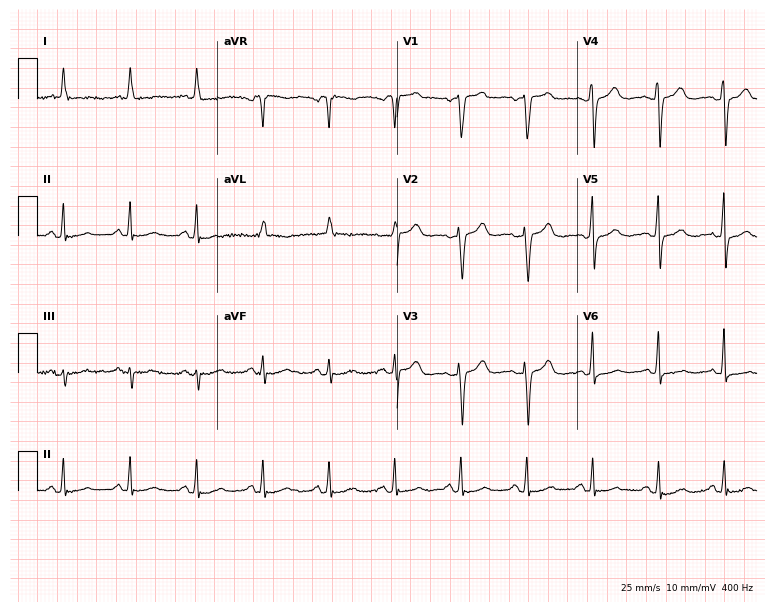
ECG — a 61-year-old female patient. Screened for six findings — first-degree AV block, right bundle branch block, left bundle branch block, sinus bradycardia, atrial fibrillation, sinus tachycardia — none is recorded. Other findings, if any, are not listed.